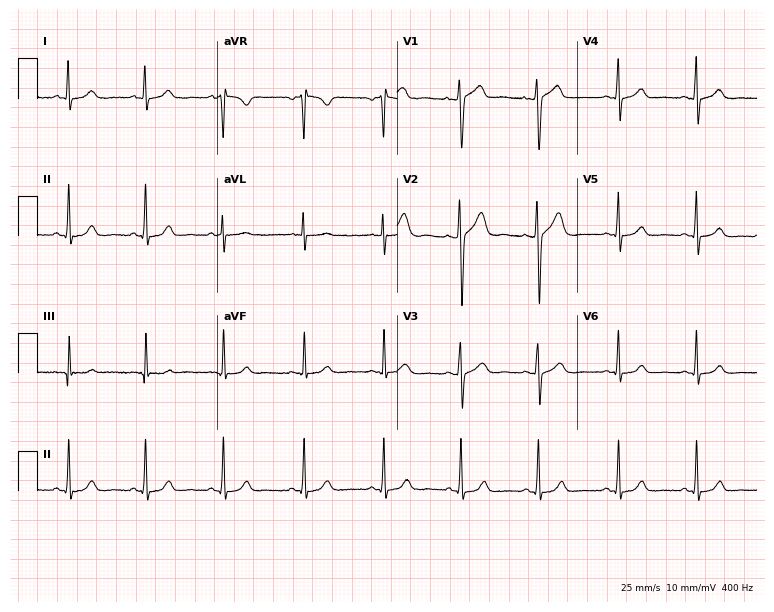
ECG (7.3-second recording at 400 Hz) — a female, 31 years old. Labelled as a normal ECG.